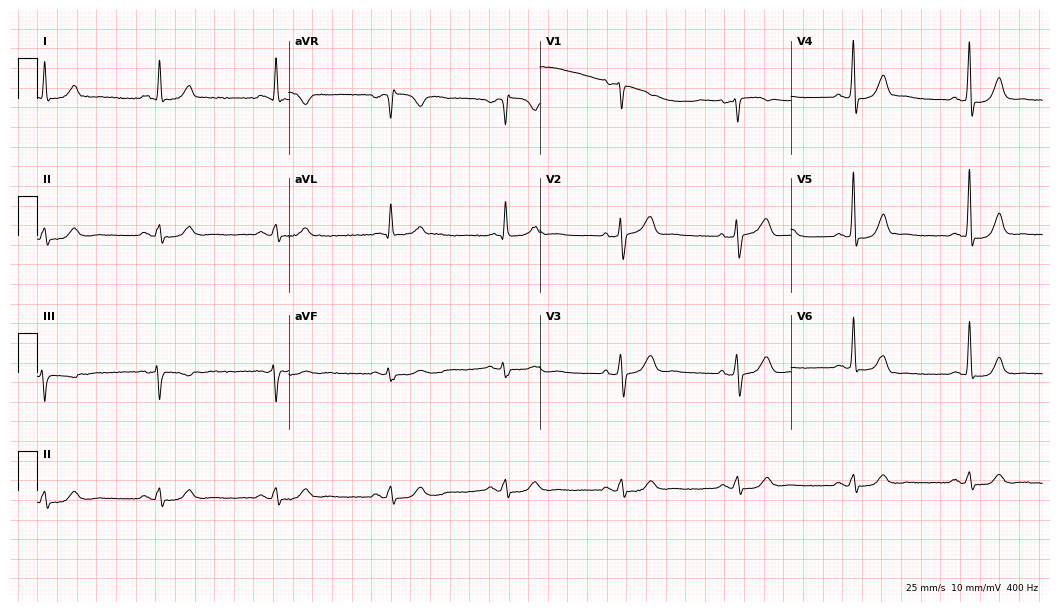
Electrocardiogram (10.2-second recording at 400 Hz), a 71-year-old woman. Of the six screened findings (first-degree AV block, right bundle branch block, left bundle branch block, sinus bradycardia, atrial fibrillation, sinus tachycardia), none is recorded.